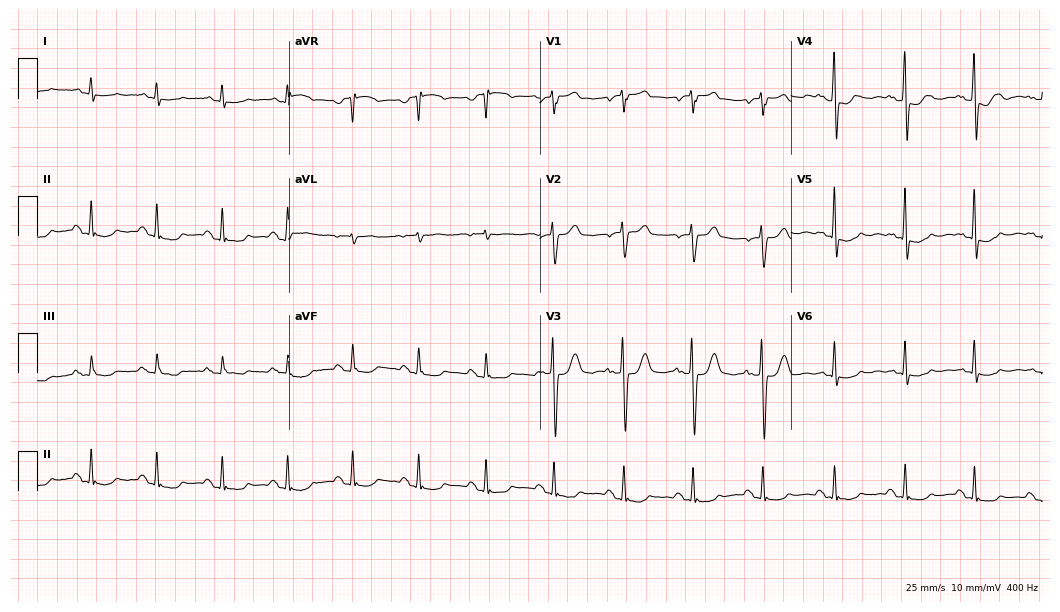
Resting 12-lead electrocardiogram. Patient: a 54-year-old female. None of these six findings is recorded: first-degree AV block, right bundle branch block (RBBB), left bundle branch block (LBBB), sinus bradycardia, atrial fibrillation (AF), sinus tachycardia. Only these six findings were labelled.